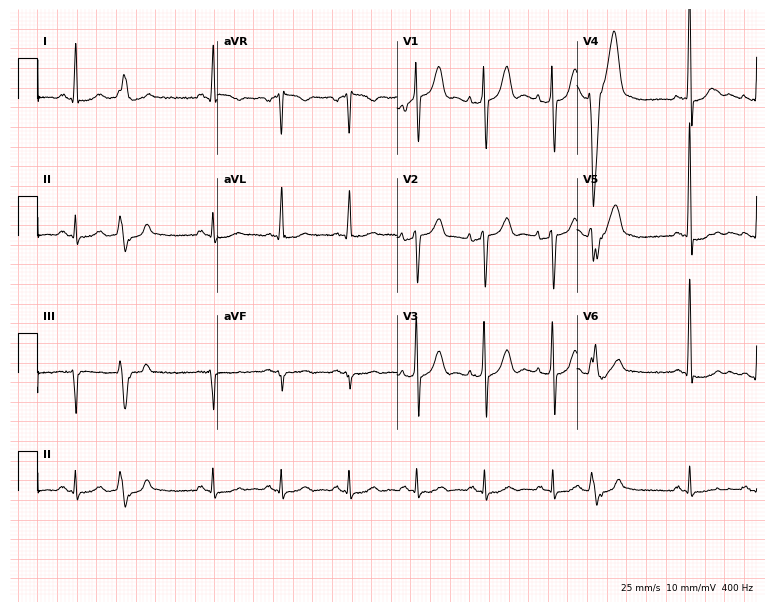
12-lead ECG from a 65-year-old male. No first-degree AV block, right bundle branch block, left bundle branch block, sinus bradycardia, atrial fibrillation or sinus tachycardia recorded for this tracing. Only these six findings were labelled.